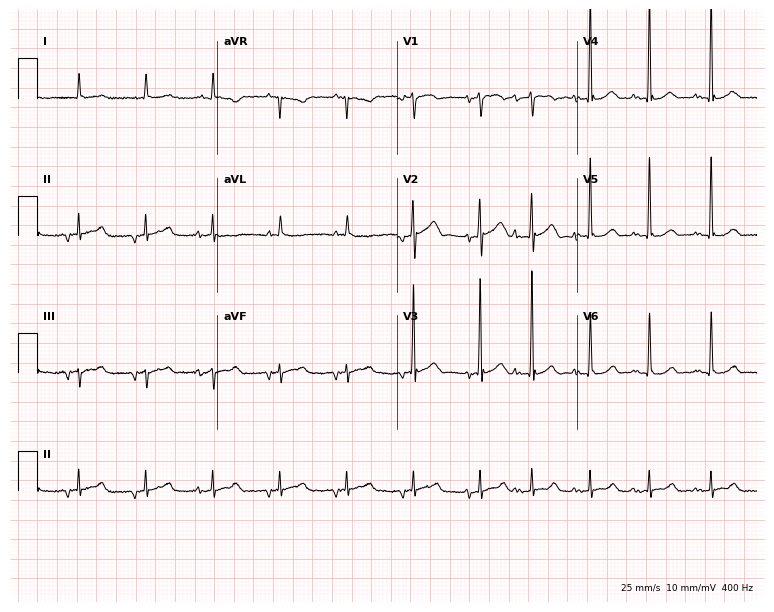
Electrocardiogram (7.3-second recording at 400 Hz), an 84-year-old male. Overall reading on record: normal ECG.